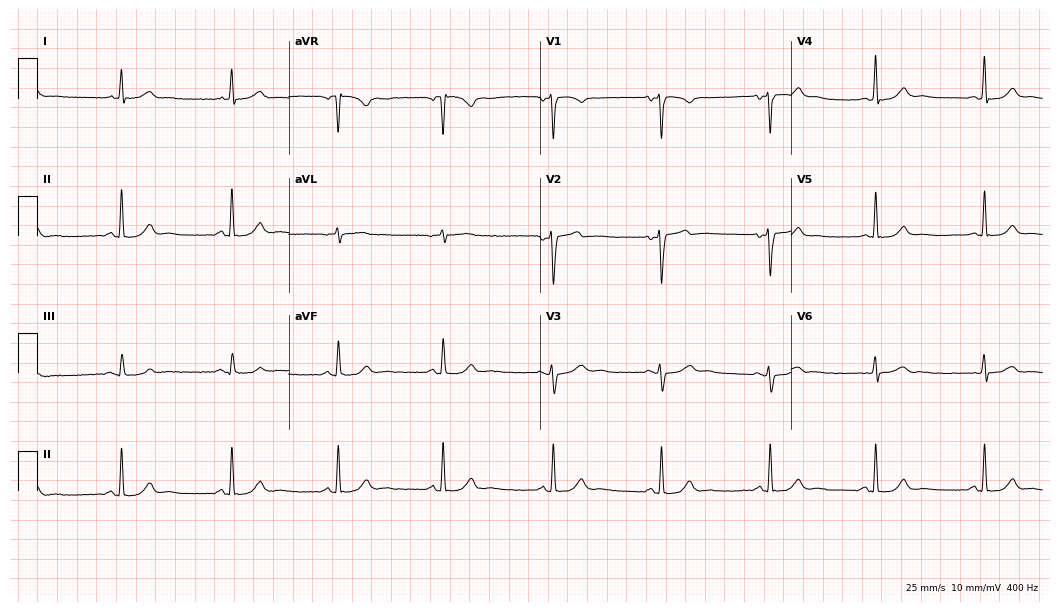
Resting 12-lead electrocardiogram (10.2-second recording at 400 Hz). Patient: a 44-year-old woman. Read as a normal ECG.